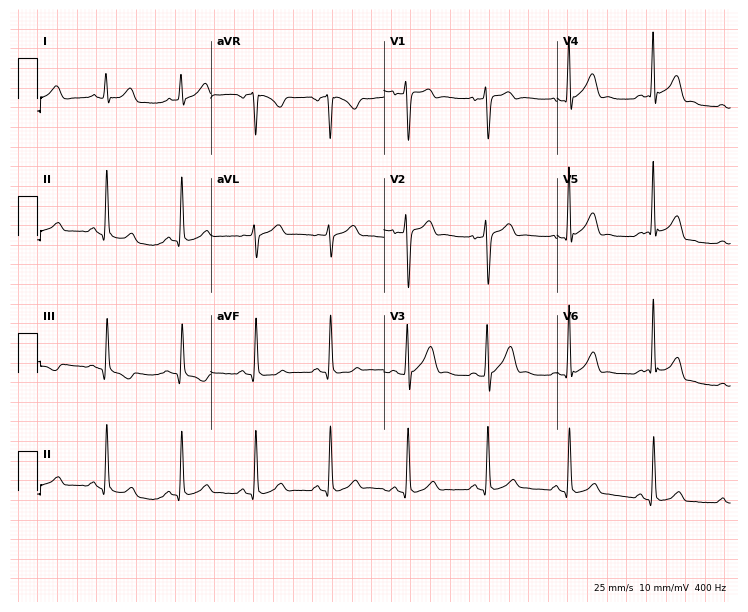
ECG — a male, 29 years old. Screened for six findings — first-degree AV block, right bundle branch block (RBBB), left bundle branch block (LBBB), sinus bradycardia, atrial fibrillation (AF), sinus tachycardia — none is recorded. Findings outside these six are not listed.